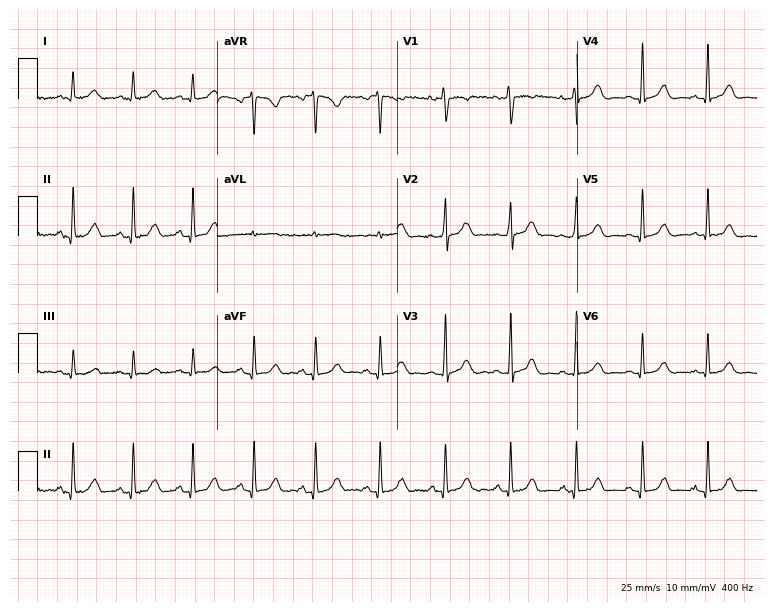
Standard 12-lead ECG recorded from a female, 36 years old (7.3-second recording at 400 Hz). Read as a normal ECG.